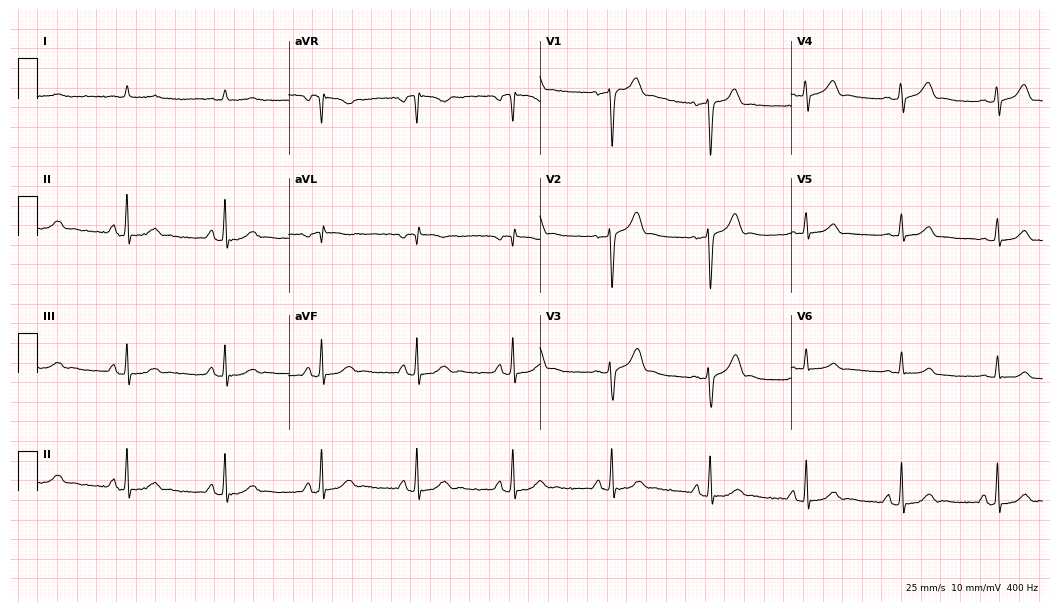
Standard 12-lead ECG recorded from a male, 53 years old (10.2-second recording at 400 Hz). None of these six findings is recorded: first-degree AV block, right bundle branch block, left bundle branch block, sinus bradycardia, atrial fibrillation, sinus tachycardia. Only these six findings were labelled.